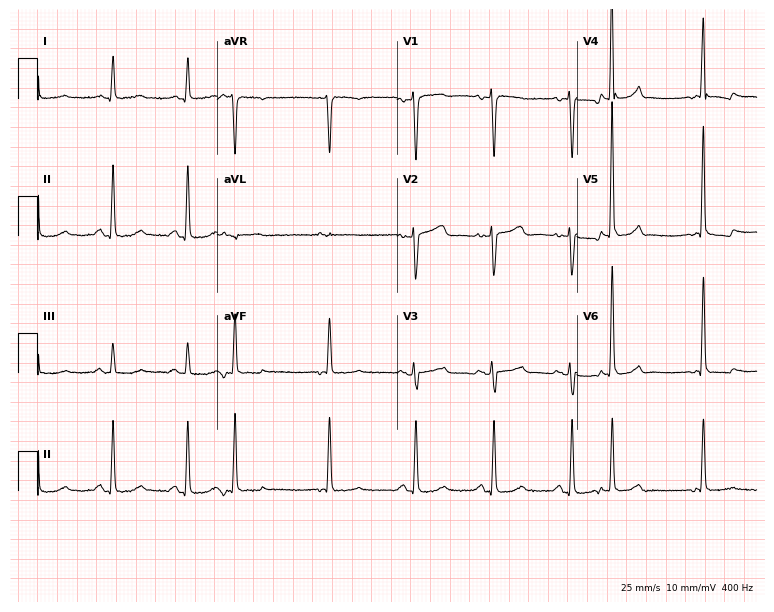
Standard 12-lead ECG recorded from a 57-year-old female (7.3-second recording at 400 Hz). None of these six findings is recorded: first-degree AV block, right bundle branch block (RBBB), left bundle branch block (LBBB), sinus bradycardia, atrial fibrillation (AF), sinus tachycardia.